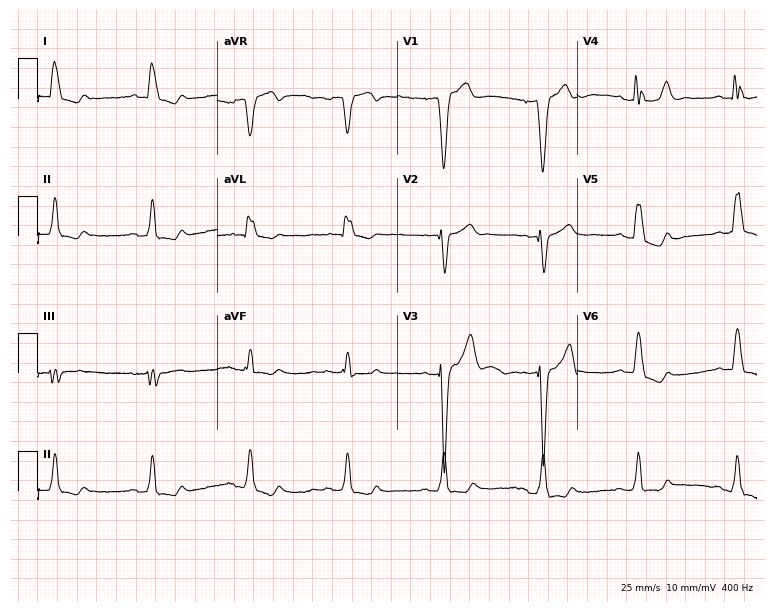
Standard 12-lead ECG recorded from a 69-year-old man. The tracing shows left bundle branch block (LBBB).